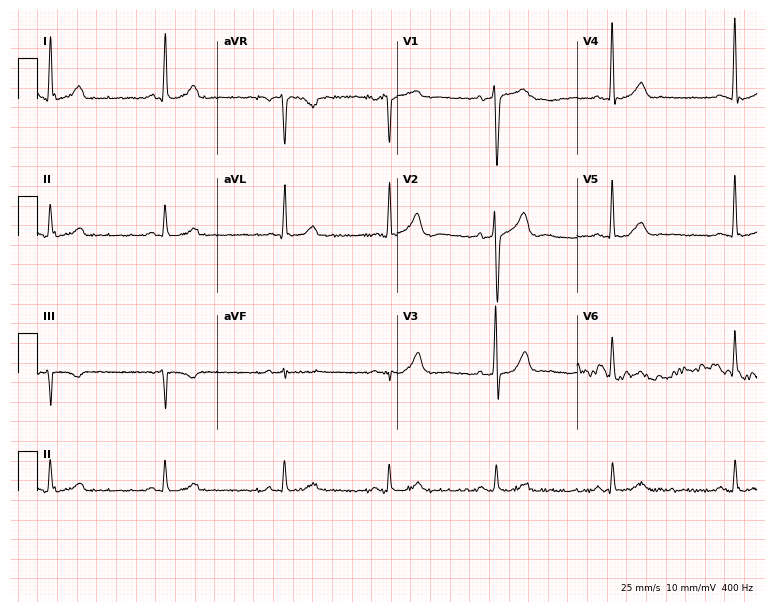
12-lead ECG from a 47-year-old male. Screened for six findings — first-degree AV block, right bundle branch block, left bundle branch block, sinus bradycardia, atrial fibrillation, sinus tachycardia — none is recorded.